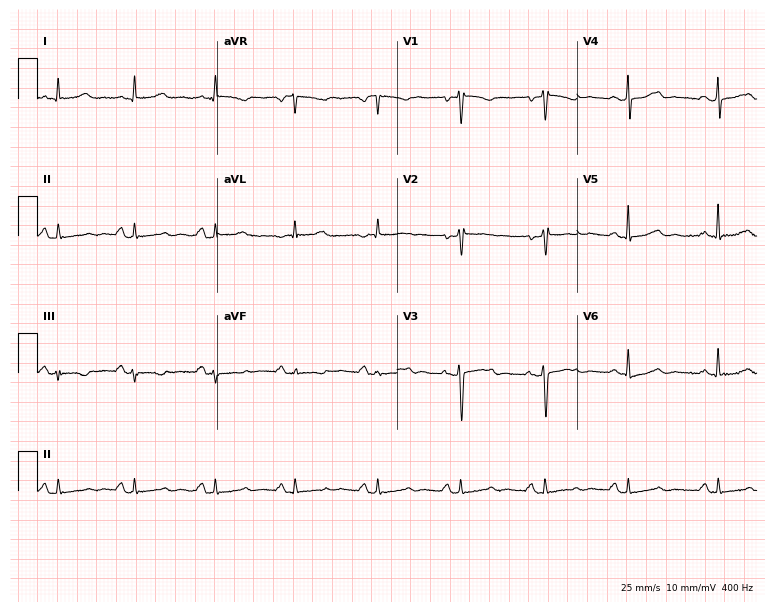
12-lead ECG (7.3-second recording at 400 Hz) from a 53-year-old female. Screened for six findings — first-degree AV block, right bundle branch block, left bundle branch block, sinus bradycardia, atrial fibrillation, sinus tachycardia — none is recorded. Only these six findings were labelled.